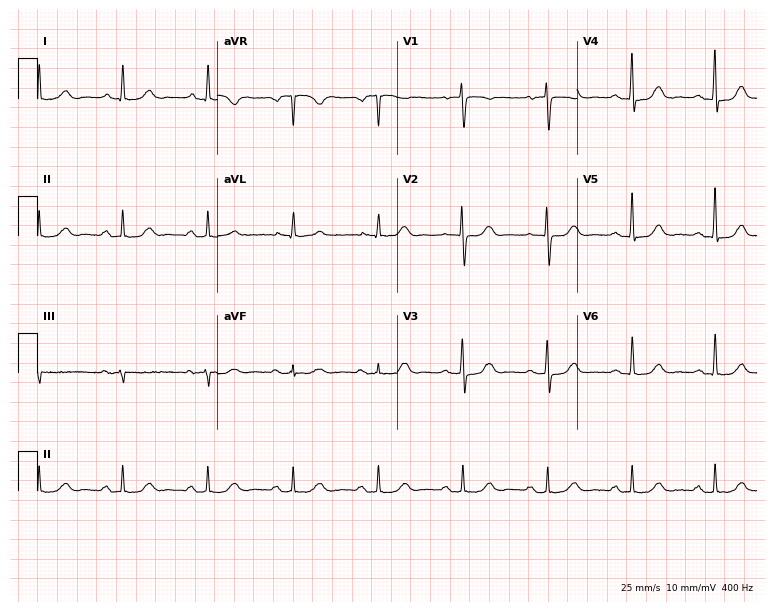
Resting 12-lead electrocardiogram (7.3-second recording at 400 Hz). Patient: an 85-year-old woman. Read as a normal ECG.